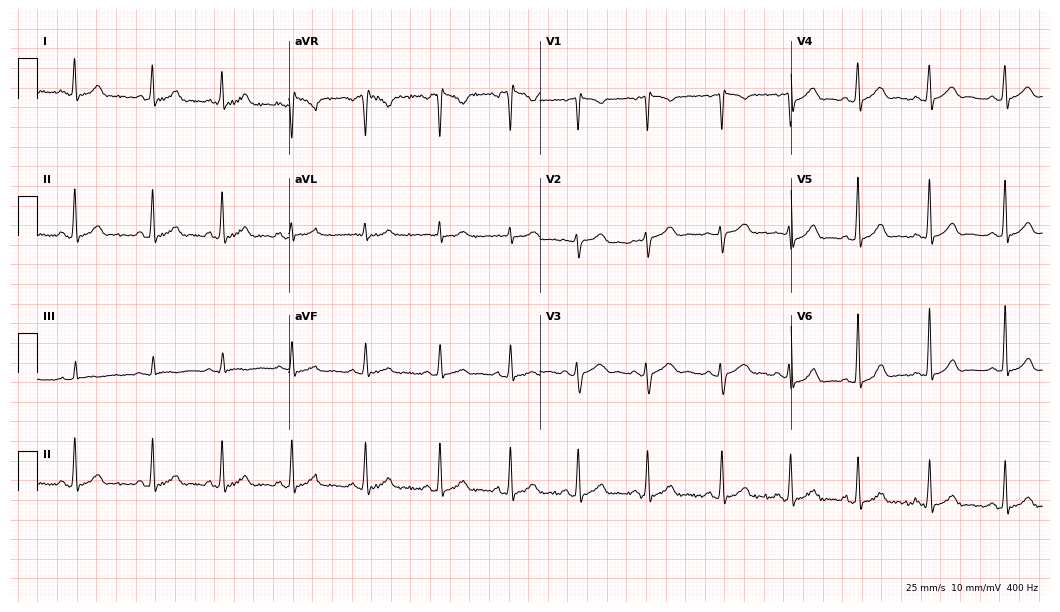
ECG (10.2-second recording at 400 Hz) — a 28-year-old female. Labelled as a normal ECG.